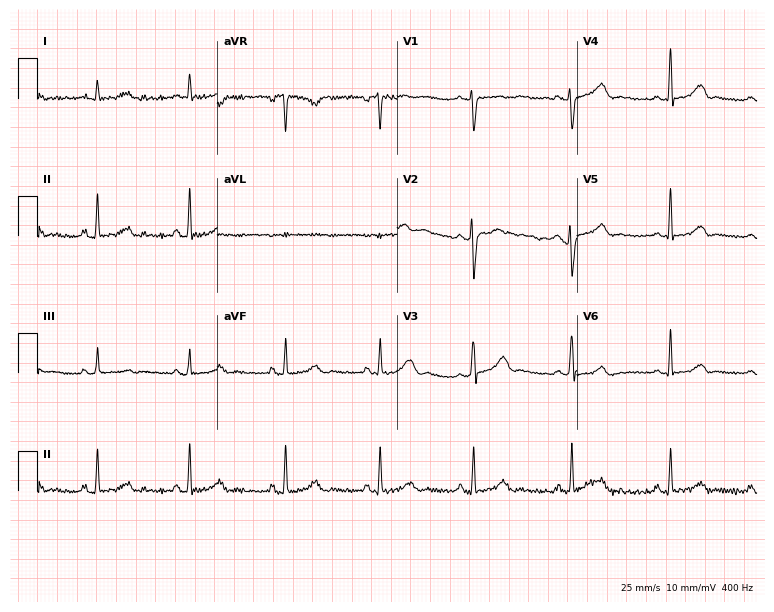
12-lead ECG from a 23-year-old man (7.3-second recording at 400 Hz). No first-degree AV block, right bundle branch block (RBBB), left bundle branch block (LBBB), sinus bradycardia, atrial fibrillation (AF) or sinus tachycardia recorded for this tracing. Other findings, if any, are not listed.